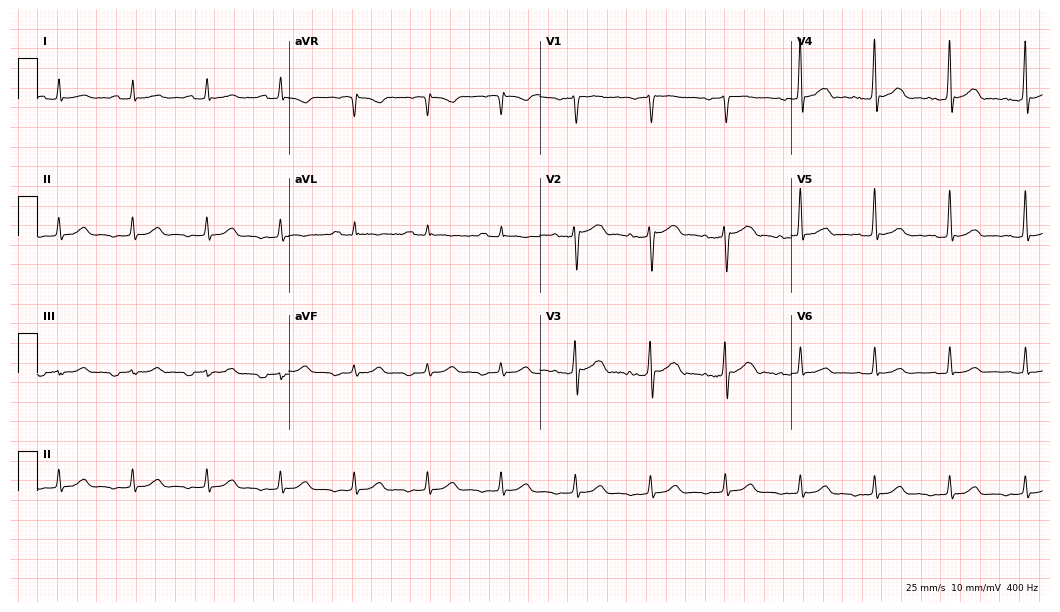
Standard 12-lead ECG recorded from a male, 61 years old (10.2-second recording at 400 Hz). Read as a normal ECG.